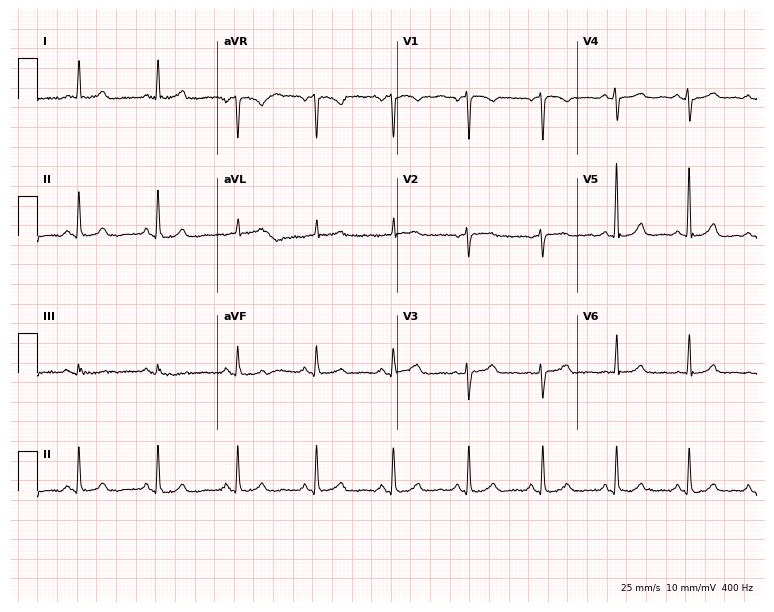
12-lead ECG from a woman, 61 years old. Labelled as a normal ECG.